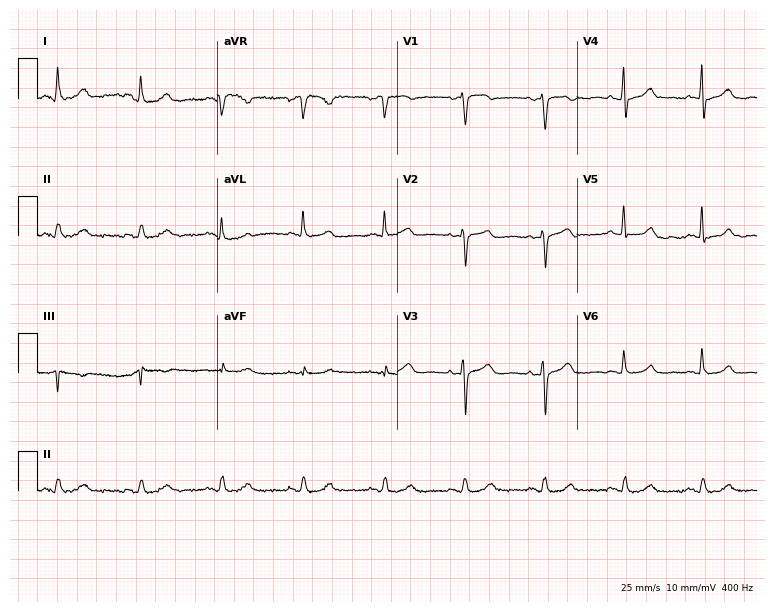
Electrocardiogram, a woman, 50 years old. Overall reading on record: normal ECG.